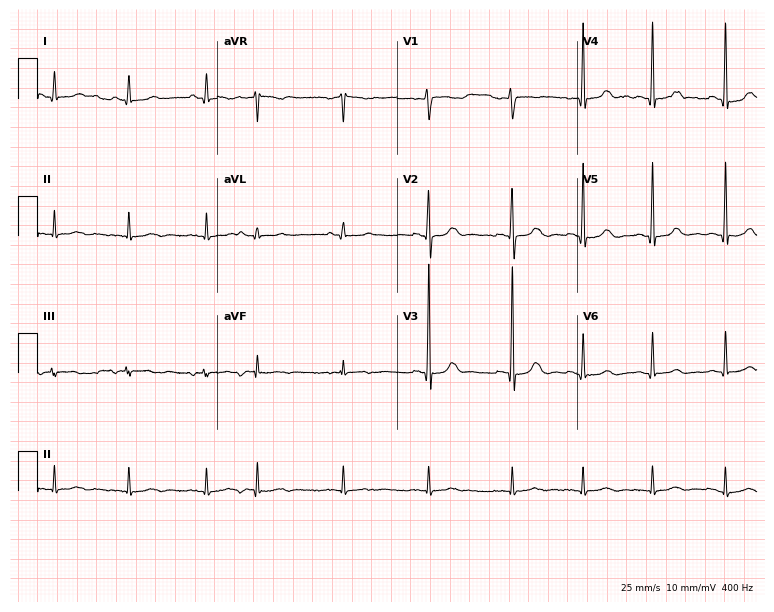
ECG — a 17-year-old female patient. Labelled as a normal ECG.